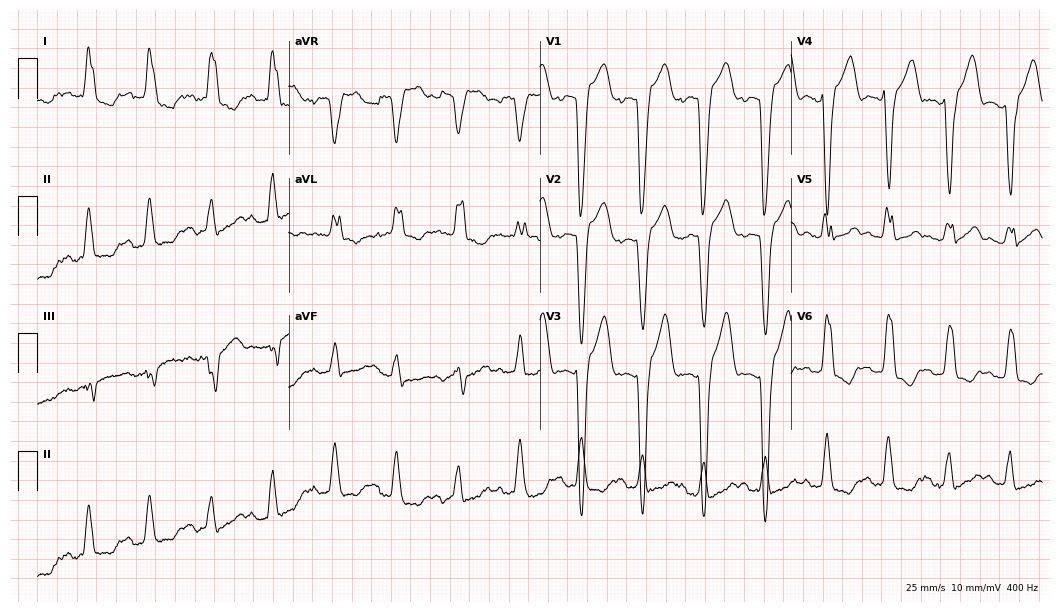
Standard 12-lead ECG recorded from a female, 74 years old (10.2-second recording at 400 Hz). The tracing shows left bundle branch block.